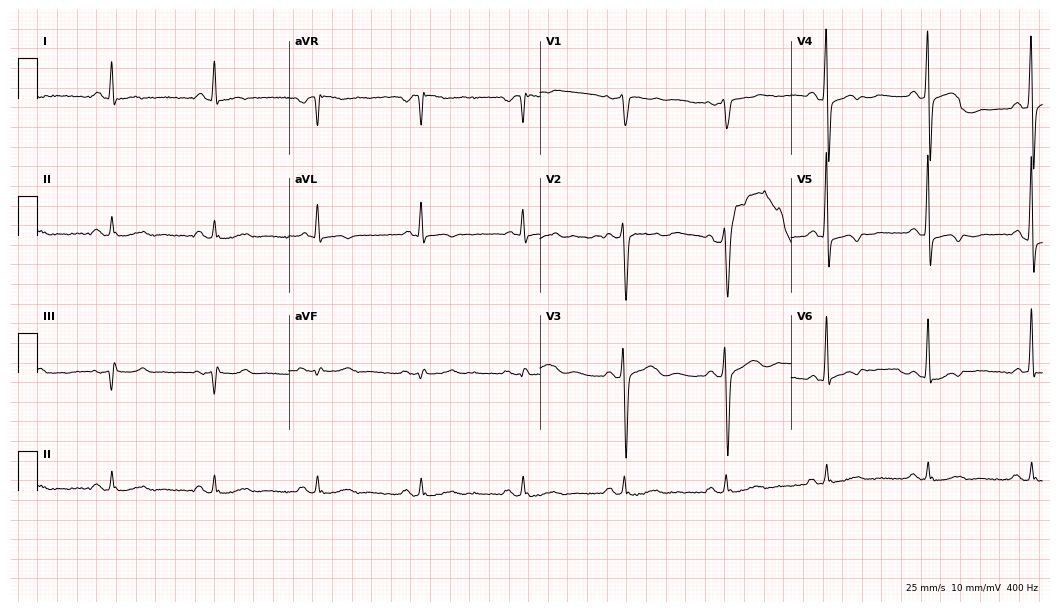
12-lead ECG from a man, 75 years old (10.2-second recording at 400 Hz). No first-degree AV block, right bundle branch block, left bundle branch block, sinus bradycardia, atrial fibrillation or sinus tachycardia recorded for this tracing. Only these six findings were labelled.